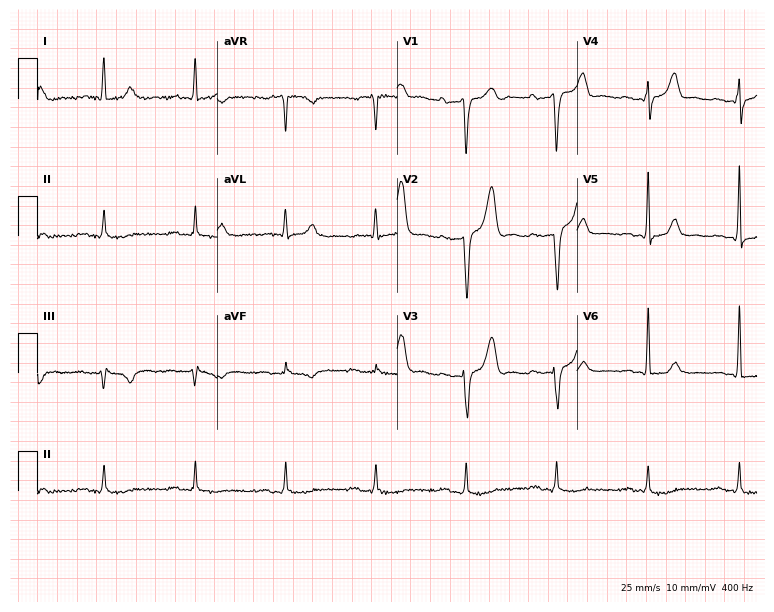
12-lead ECG from a male patient, 82 years old (7.3-second recording at 400 Hz). Recorded interpretation: within normal limits.